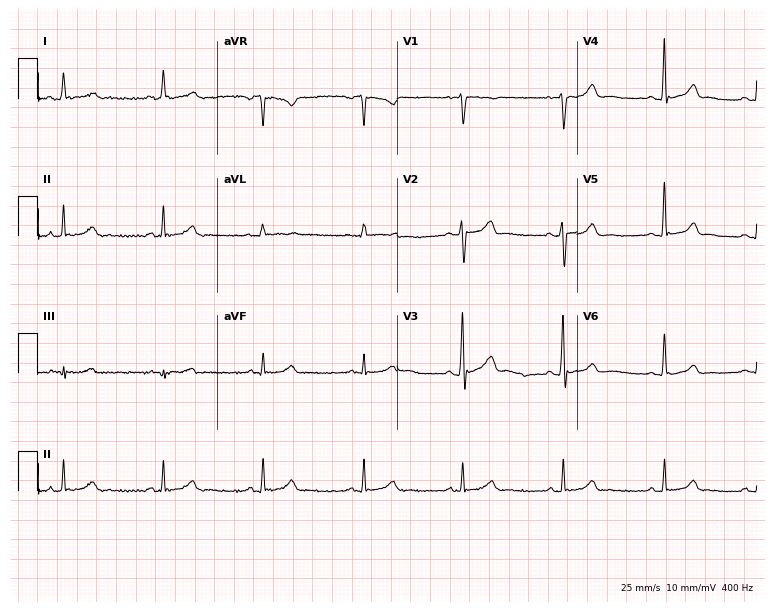
ECG (7.3-second recording at 400 Hz) — a male patient, 51 years old. Labelled as a normal ECG.